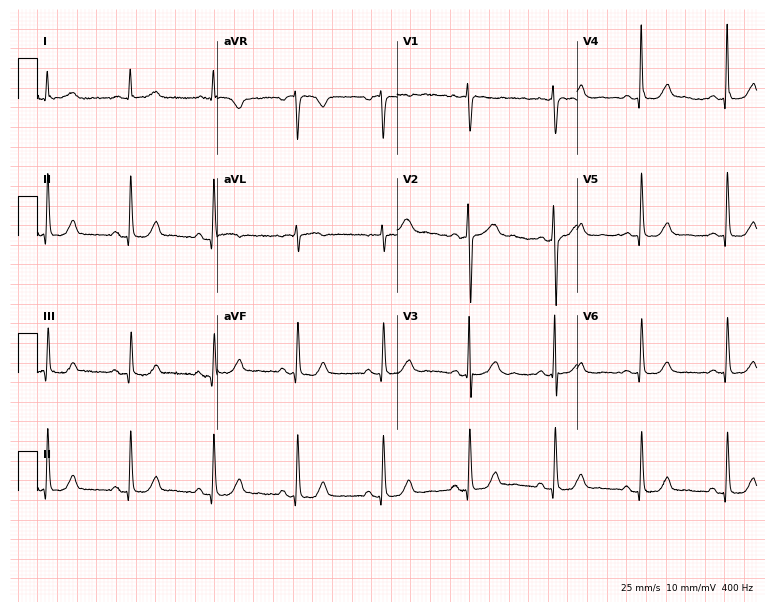
Standard 12-lead ECG recorded from a female, 62 years old. Read as a normal ECG.